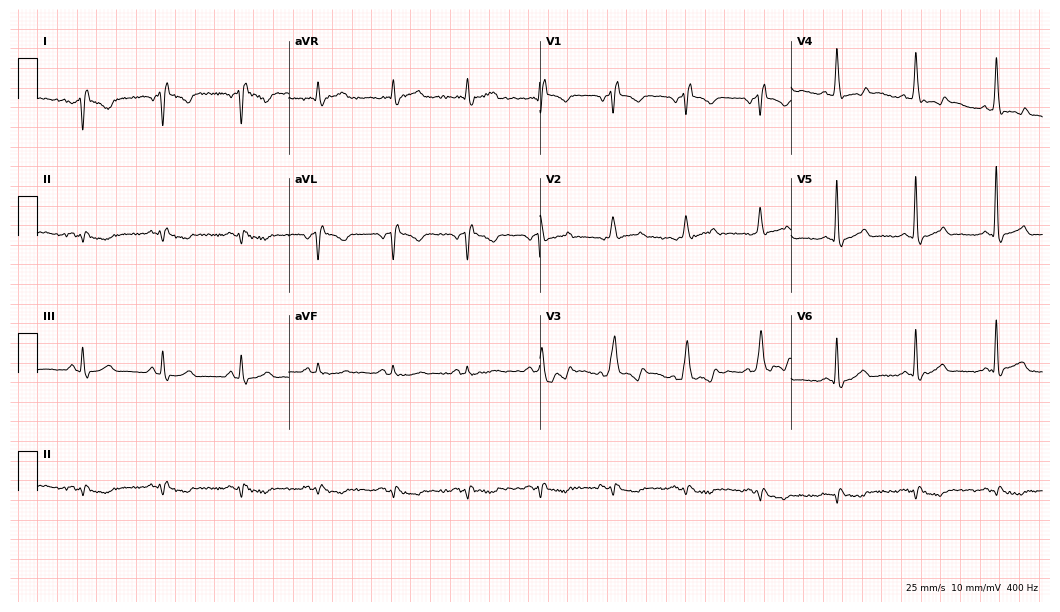
Standard 12-lead ECG recorded from a male patient, 59 years old (10.2-second recording at 400 Hz). None of these six findings is recorded: first-degree AV block, right bundle branch block (RBBB), left bundle branch block (LBBB), sinus bradycardia, atrial fibrillation (AF), sinus tachycardia. Findings outside these six are not listed.